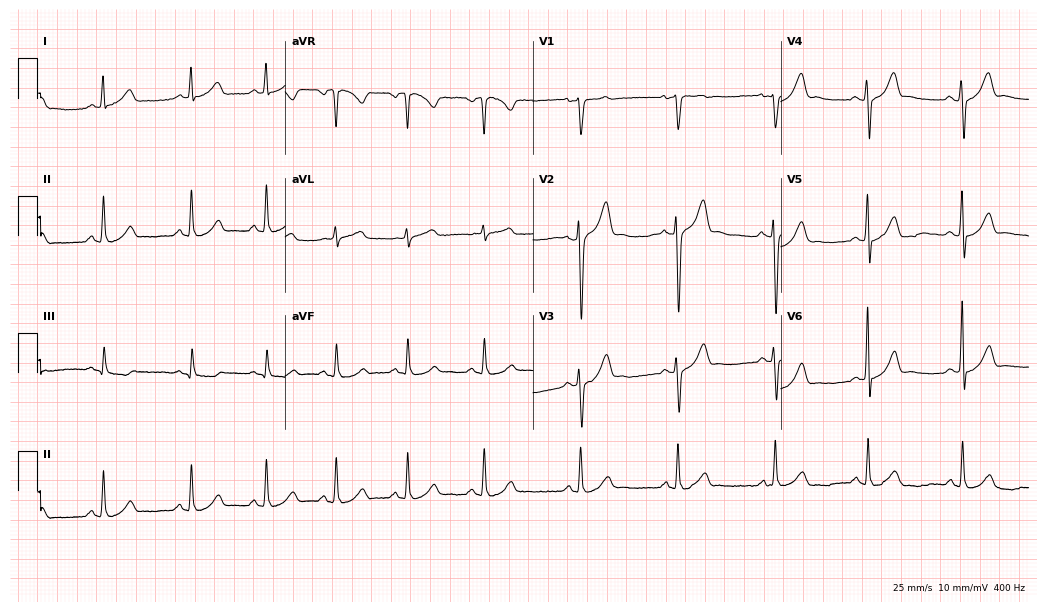
Standard 12-lead ECG recorded from a 40-year-old man. Read as a normal ECG.